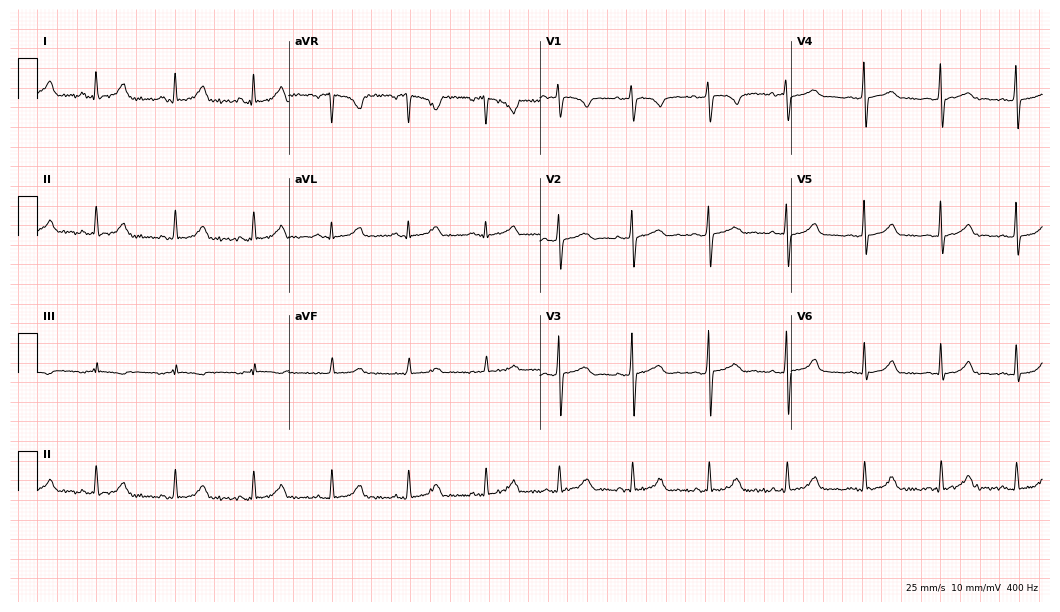
Electrocardiogram, a 19-year-old female. Overall reading on record: normal ECG.